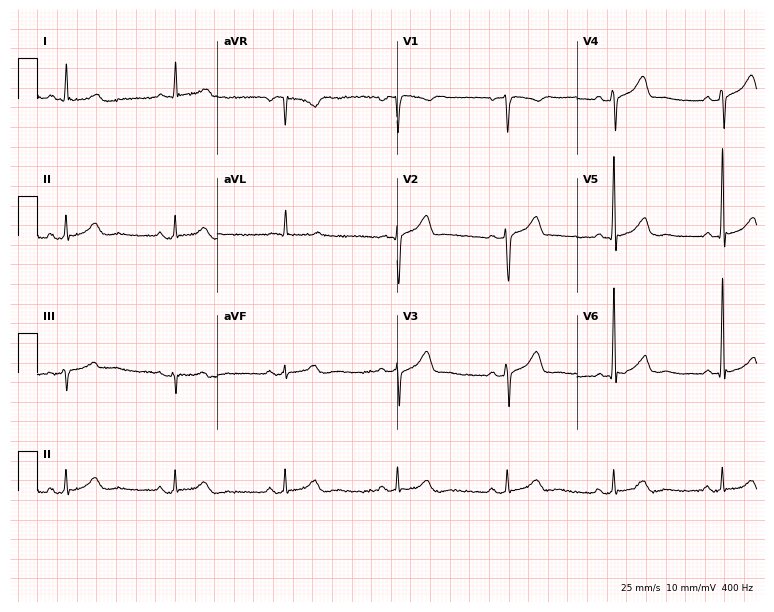
Resting 12-lead electrocardiogram (7.3-second recording at 400 Hz). Patient: a 75-year-old man. Read as a normal ECG.